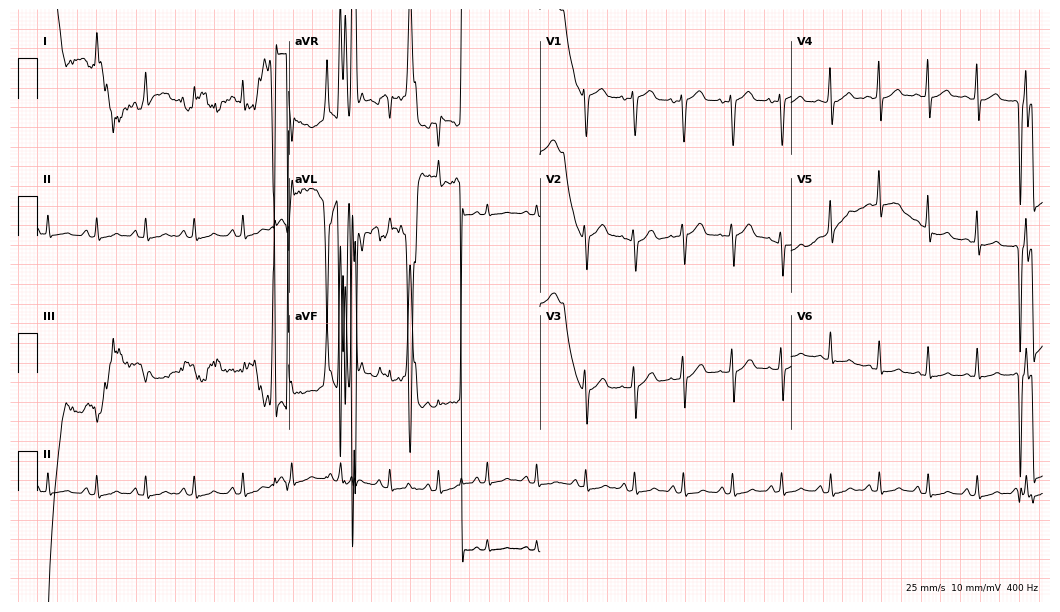
ECG (10.2-second recording at 400 Hz) — a 47-year-old female patient. Screened for six findings — first-degree AV block, right bundle branch block (RBBB), left bundle branch block (LBBB), sinus bradycardia, atrial fibrillation (AF), sinus tachycardia — none is recorded.